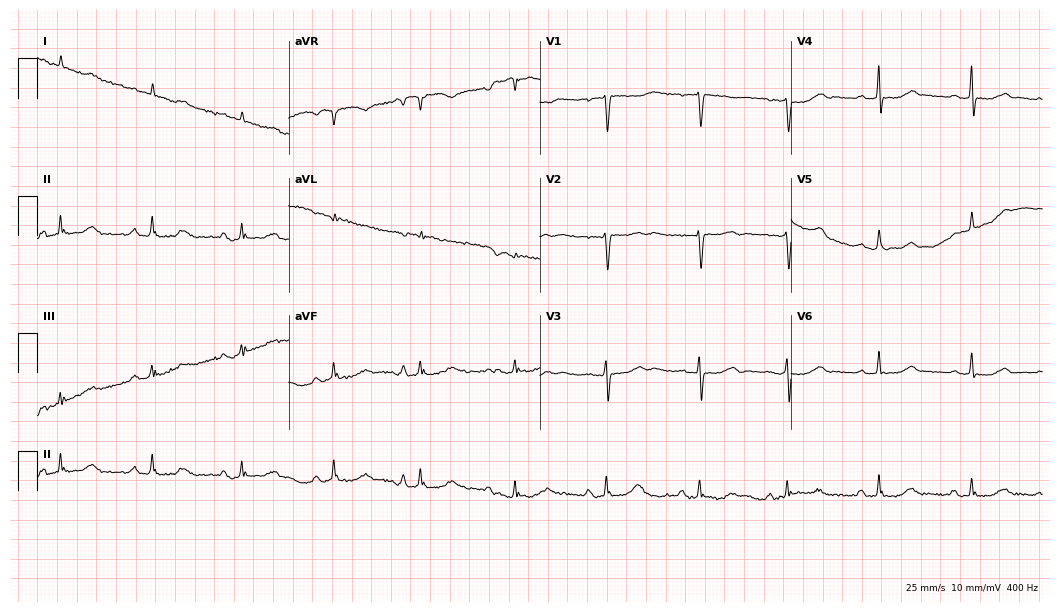
Electrocardiogram (10.2-second recording at 400 Hz), a female, 66 years old. Overall reading on record: normal ECG.